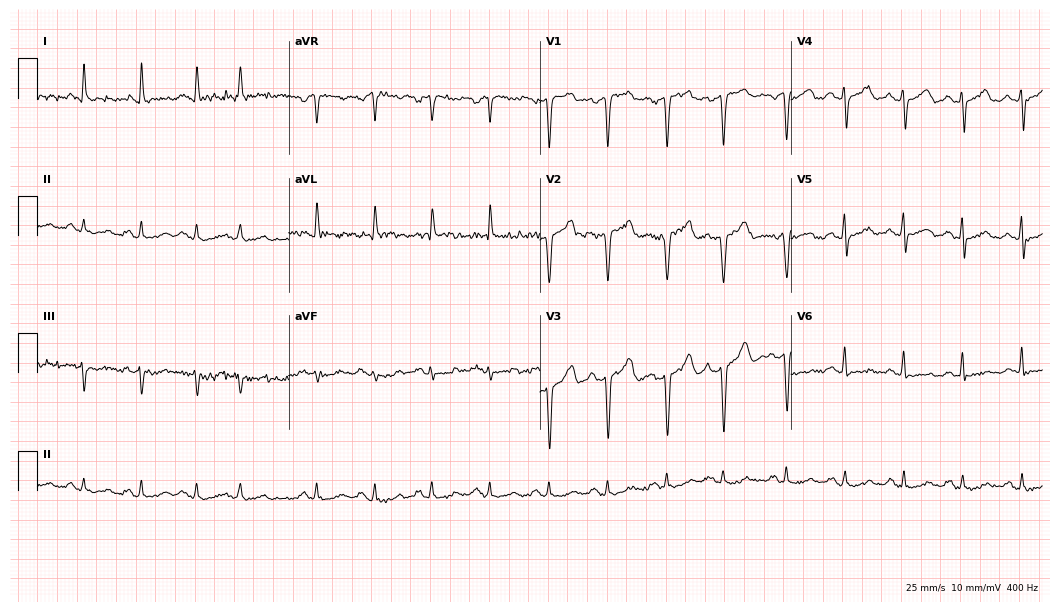
ECG (10.2-second recording at 400 Hz) — a 56-year-old male. Findings include sinus tachycardia (a sinus rate of 100 beats per minute or more).